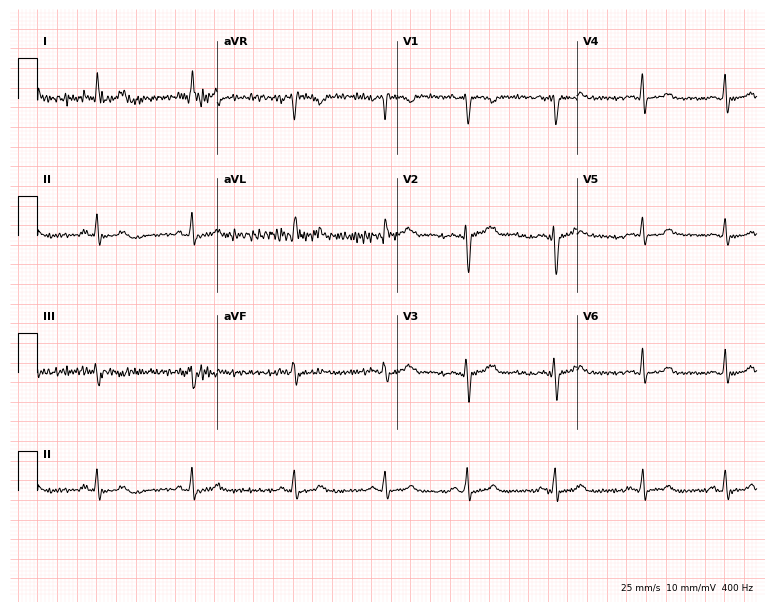
Standard 12-lead ECG recorded from a 27-year-old female (7.3-second recording at 400 Hz). None of these six findings is recorded: first-degree AV block, right bundle branch block, left bundle branch block, sinus bradycardia, atrial fibrillation, sinus tachycardia.